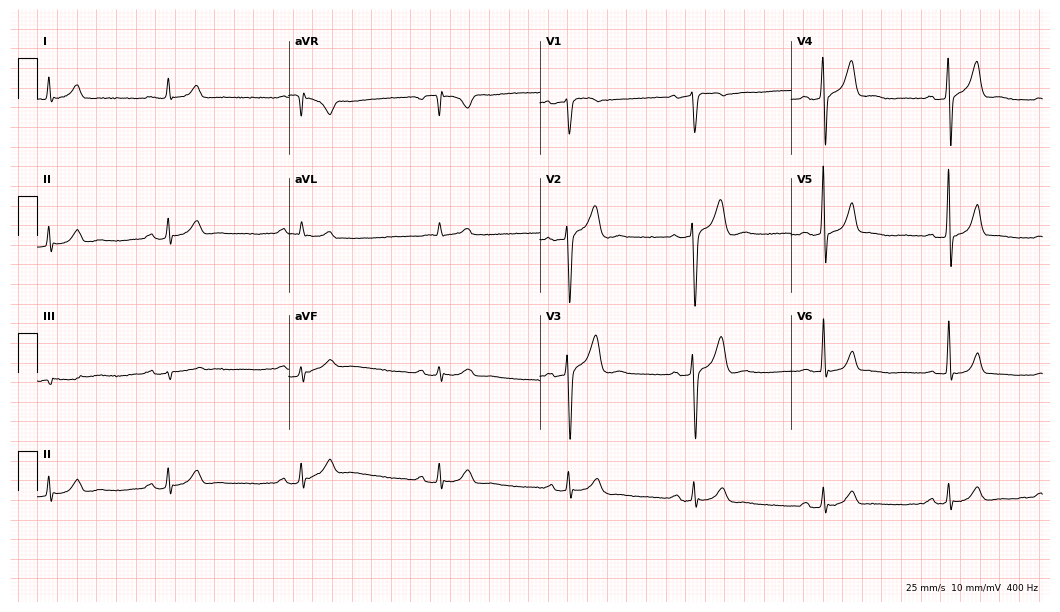
Electrocardiogram (10.2-second recording at 400 Hz), a 49-year-old male. Interpretation includes sinus bradycardia (a sinus rate of 50 beats per minute or less).